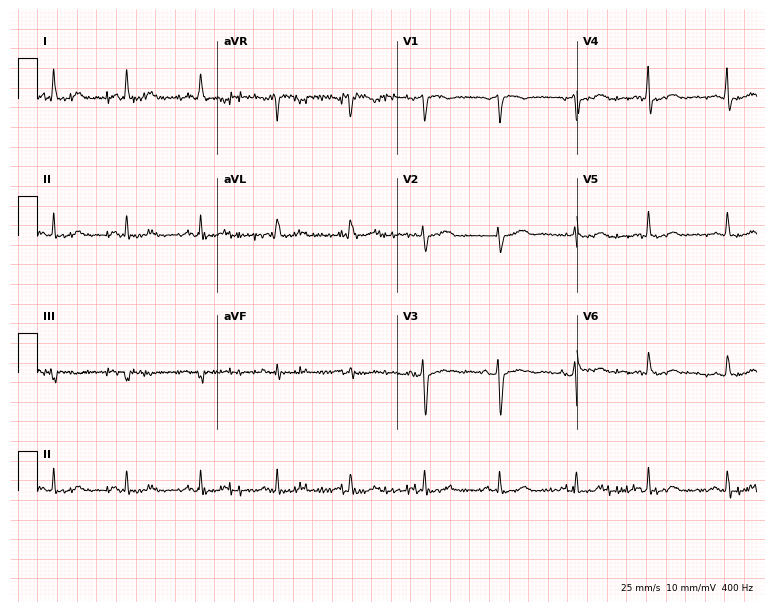
Standard 12-lead ECG recorded from a woman, 64 years old. Read as a normal ECG.